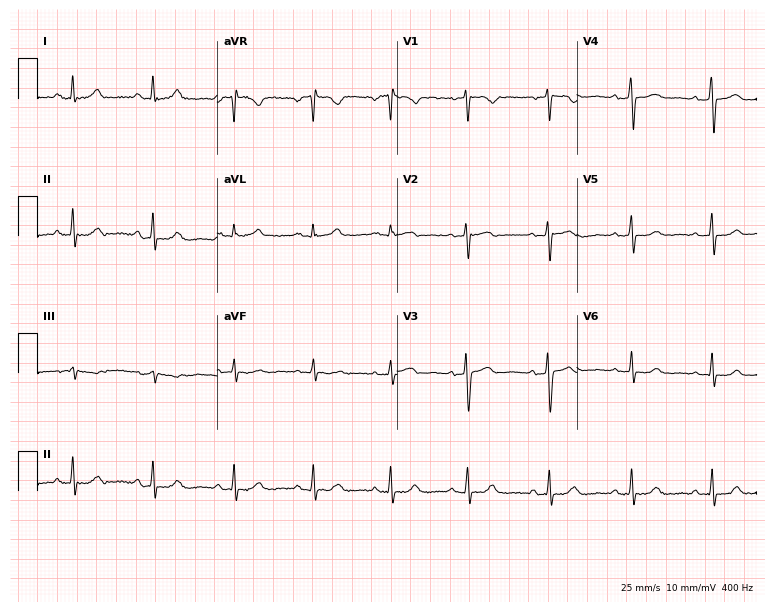
ECG — a 34-year-old female patient. Screened for six findings — first-degree AV block, right bundle branch block, left bundle branch block, sinus bradycardia, atrial fibrillation, sinus tachycardia — none is recorded.